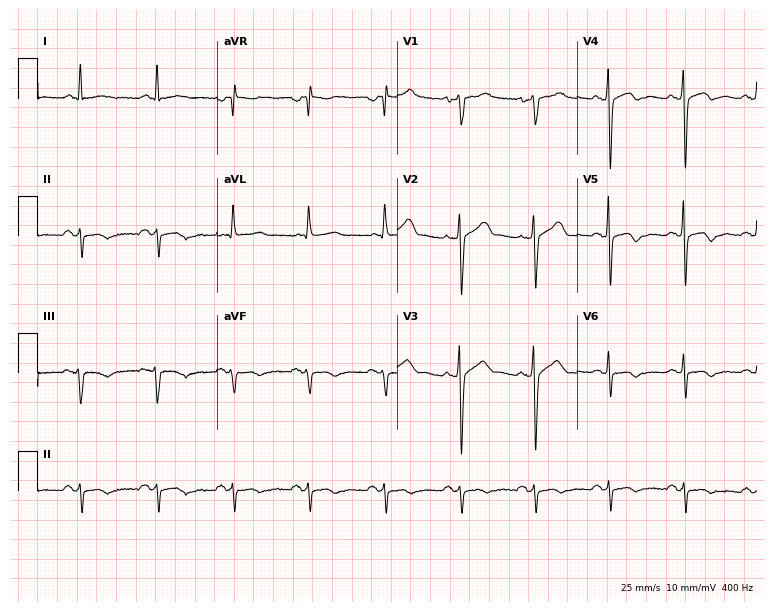
Standard 12-lead ECG recorded from a 55-year-old male. None of these six findings is recorded: first-degree AV block, right bundle branch block, left bundle branch block, sinus bradycardia, atrial fibrillation, sinus tachycardia.